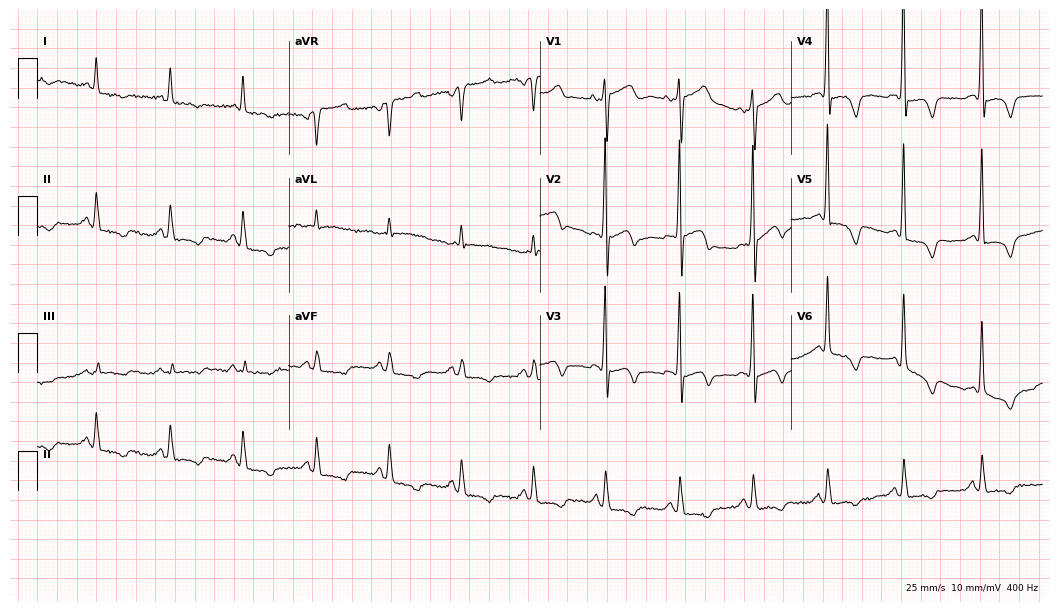
Resting 12-lead electrocardiogram. Patient: a man, 76 years old. None of these six findings is recorded: first-degree AV block, right bundle branch block, left bundle branch block, sinus bradycardia, atrial fibrillation, sinus tachycardia. Only these six findings were labelled.